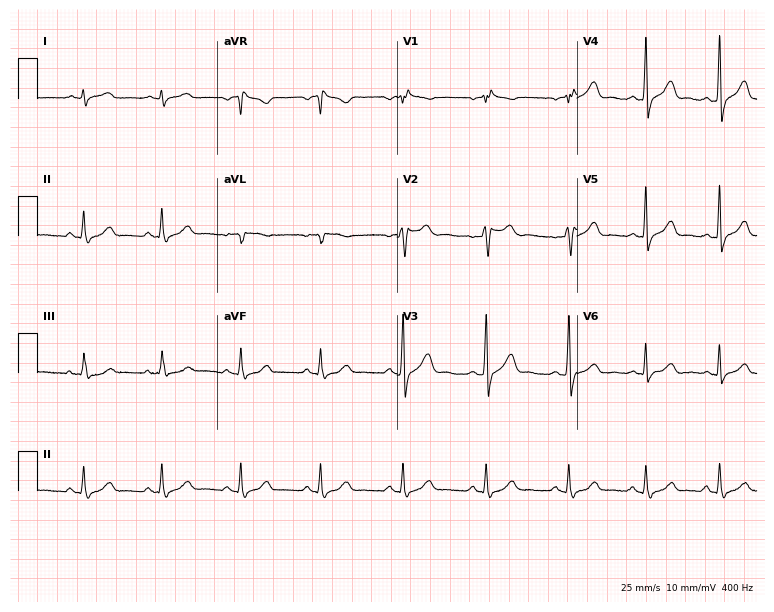
Resting 12-lead electrocardiogram (7.3-second recording at 400 Hz). Patient: a male, 40 years old. Read as a normal ECG.